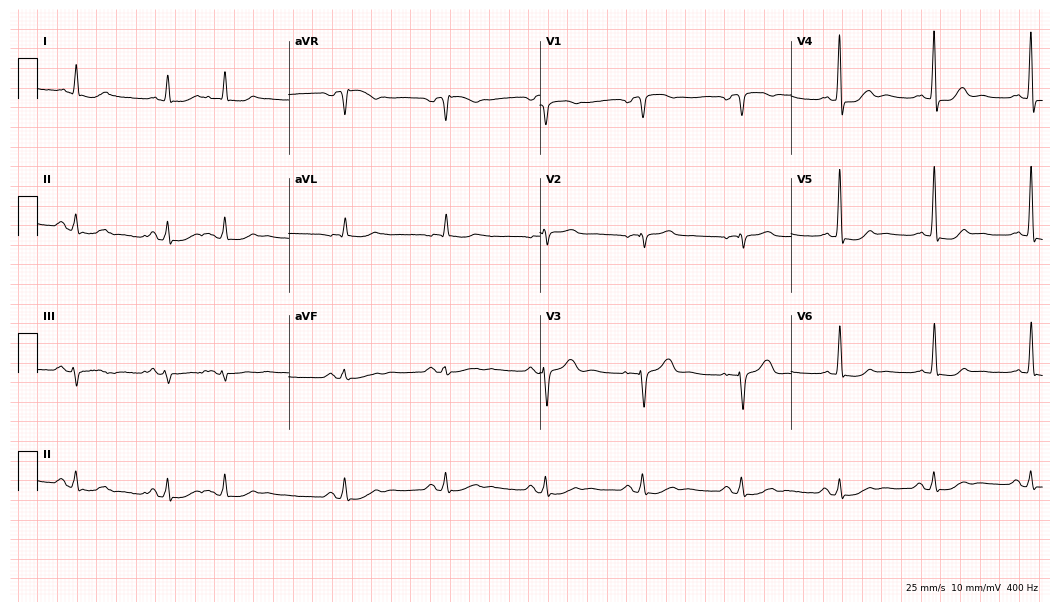
12-lead ECG (10.2-second recording at 400 Hz) from a man, 82 years old. Screened for six findings — first-degree AV block, right bundle branch block (RBBB), left bundle branch block (LBBB), sinus bradycardia, atrial fibrillation (AF), sinus tachycardia — none is recorded. Only these six findings were labelled.